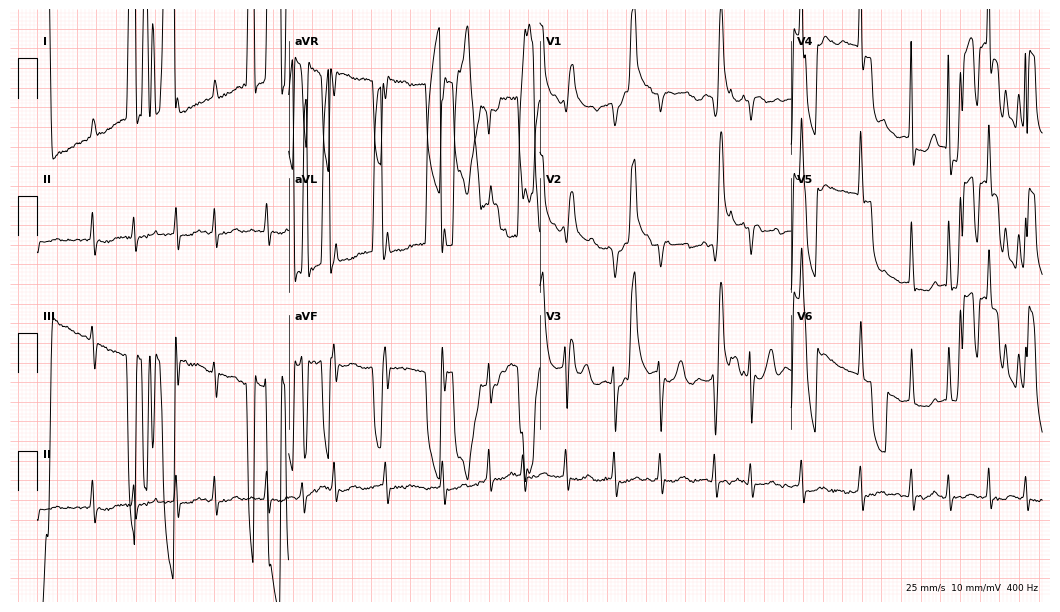
ECG (10.2-second recording at 400 Hz) — an 82-year-old female. Screened for six findings — first-degree AV block, right bundle branch block (RBBB), left bundle branch block (LBBB), sinus bradycardia, atrial fibrillation (AF), sinus tachycardia — none is recorded. Other findings, if any, are not listed.